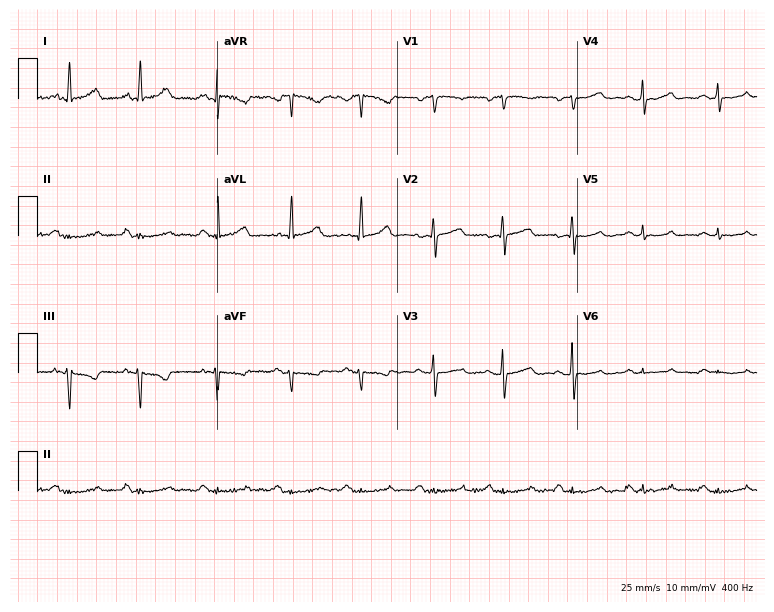
Resting 12-lead electrocardiogram. Patient: a 46-year-old female. None of these six findings is recorded: first-degree AV block, right bundle branch block, left bundle branch block, sinus bradycardia, atrial fibrillation, sinus tachycardia. Only these six findings were labelled.